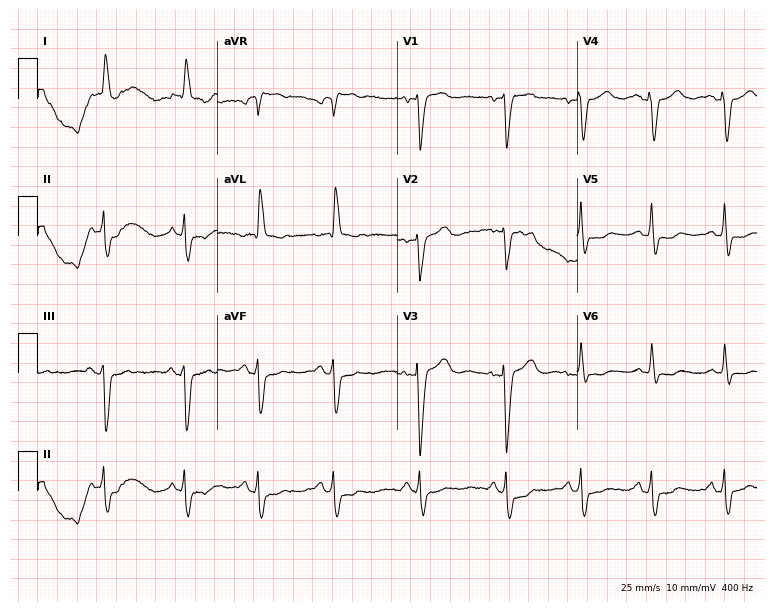
ECG (7.3-second recording at 400 Hz) — a 70-year-old man. Screened for six findings — first-degree AV block, right bundle branch block, left bundle branch block, sinus bradycardia, atrial fibrillation, sinus tachycardia — none is recorded.